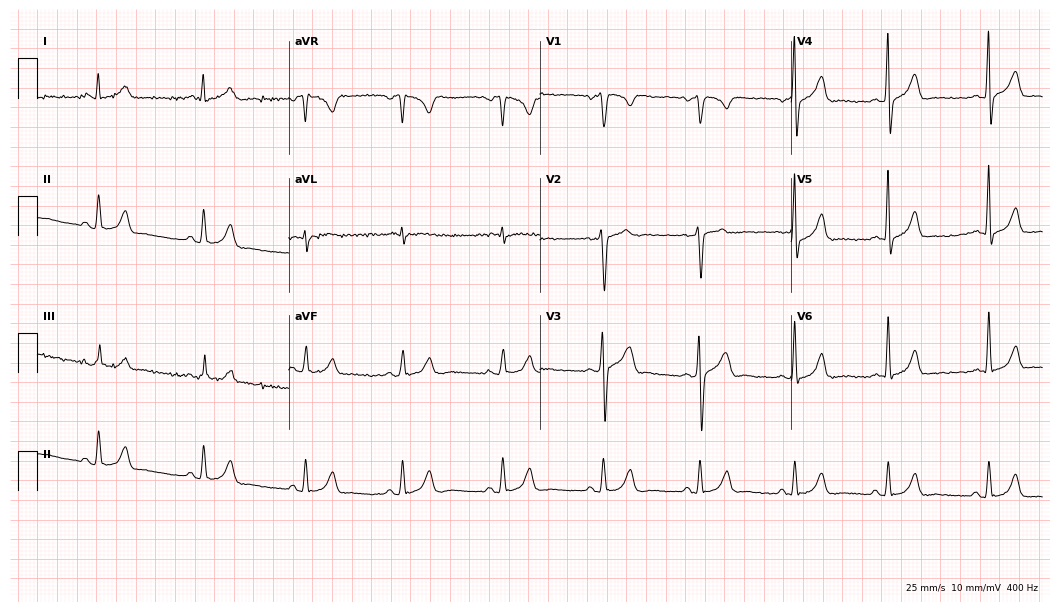
Electrocardiogram (10.2-second recording at 400 Hz), a 44-year-old man. Overall reading on record: normal ECG.